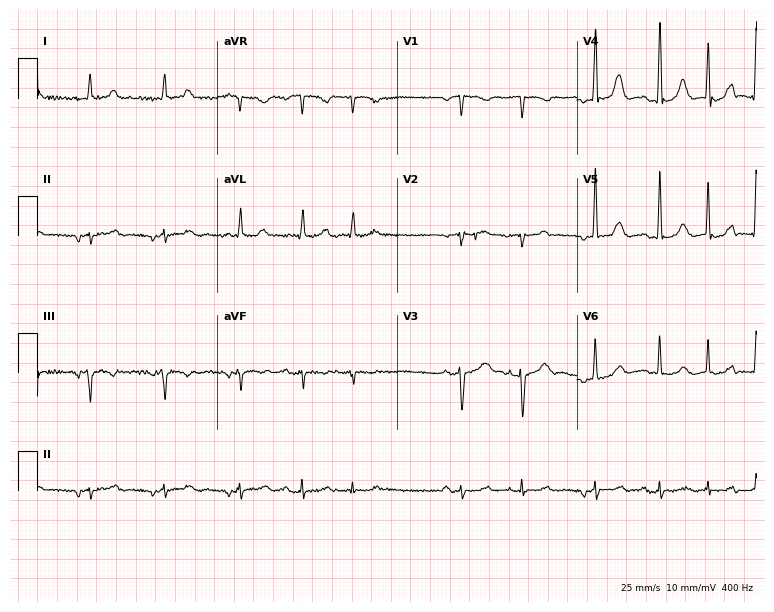
Standard 12-lead ECG recorded from a male patient, 80 years old. None of these six findings is recorded: first-degree AV block, right bundle branch block, left bundle branch block, sinus bradycardia, atrial fibrillation, sinus tachycardia.